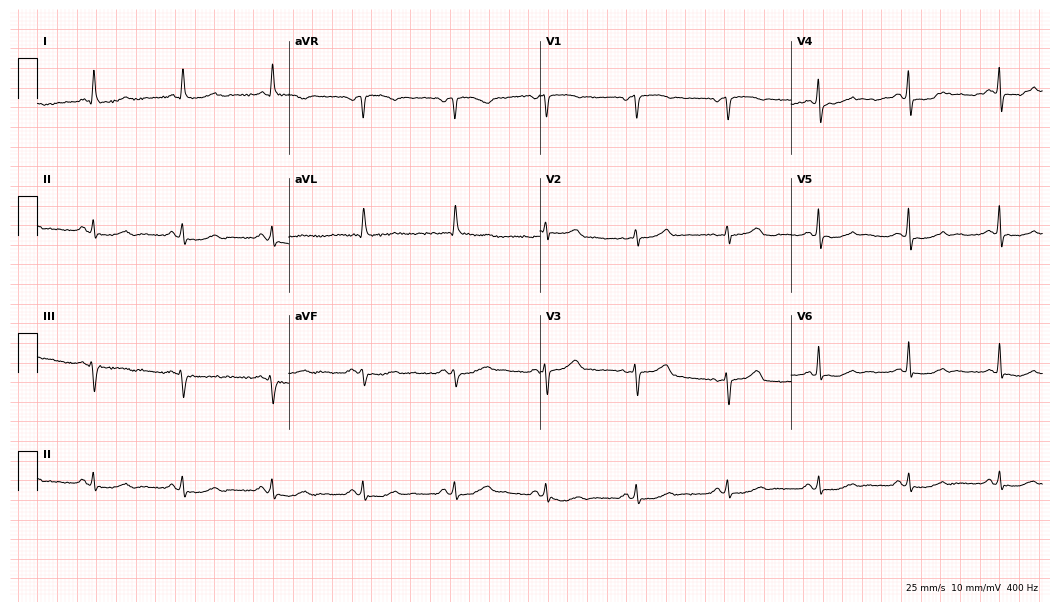
Standard 12-lead ECG recorded from a woman, 66 years old. None of these six findings is recorded: first-degree AV block, right bundle branch block, left bundle branch block, sinus bradycardia, atrial fibrillation, sinus tachycardia. Other findings, if any, are not listed.